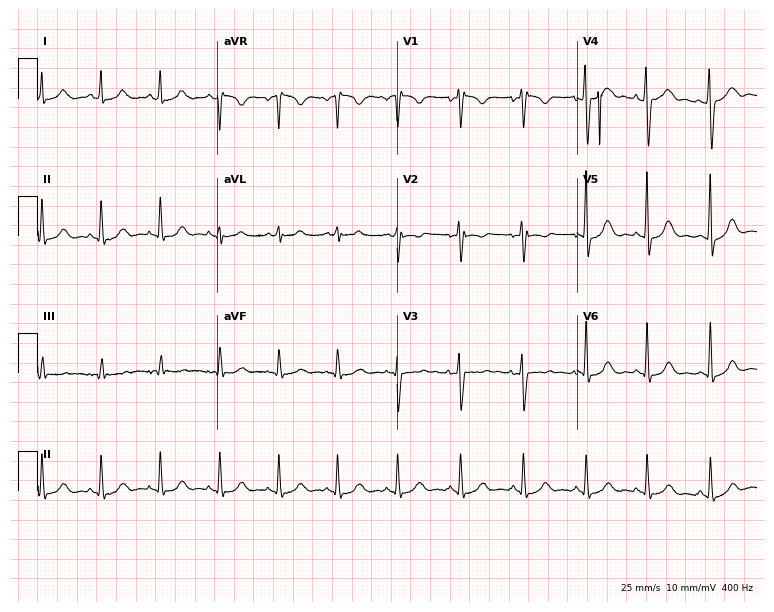
12-lead ECG (7.3-second recording at 400 Hz) from a 40-year-old woman. Labelled as a normal ECG.